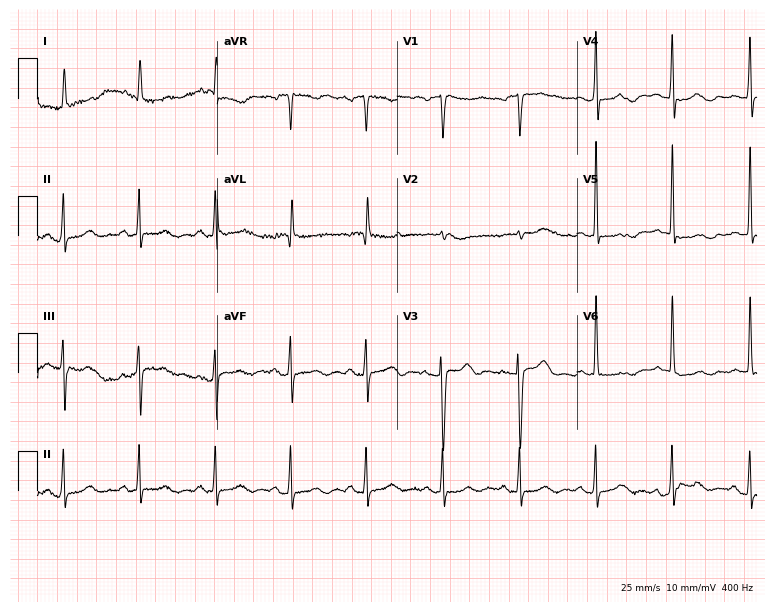
12-lead ECG (7.3-second recording at 400 Hz) from a woman, 84 years old. Screened for six findings — first-degree AV block, right bundle branch block, left bundle branch block, sinus bradycardia, atrial fibrillation, sinus tachycardia — none is recorded.